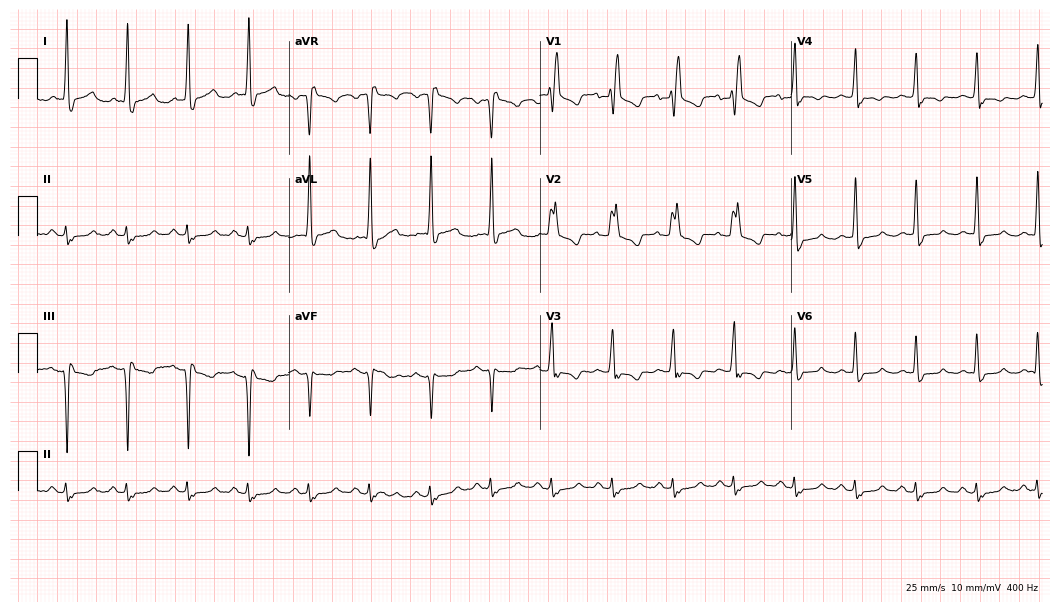
Standard 12-lead ECG recorded from a female, 71 years old (10.2-second recording at 400 Hz). The tracing shows right bundle branch block.